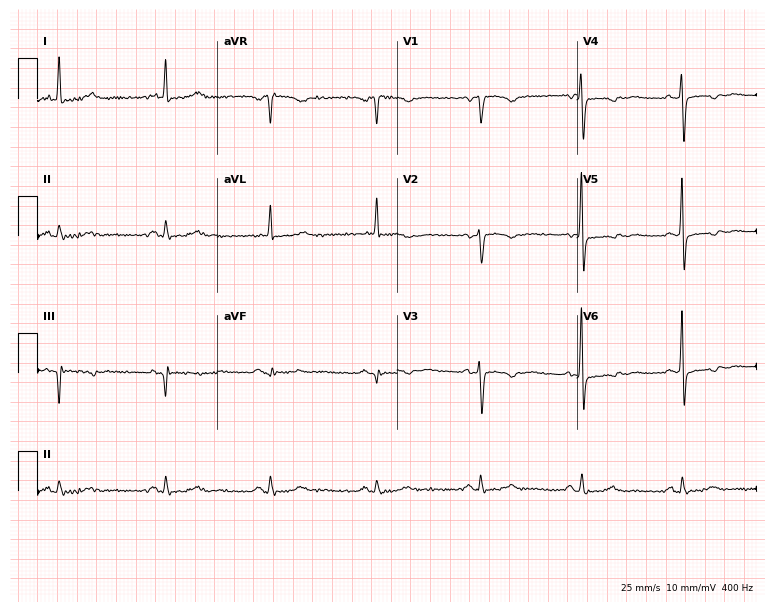
Standard 12-lead ECG recorded from a female patient, 78 years old (7.3-second recording at 400 Hz). None of these six findings is recorded: first-degree AV block, right bundle branch block, left bundle branch block, sinus bradycardia, atrial fibrillation, sinus tachycardia. Other findings, if any, are not listed.